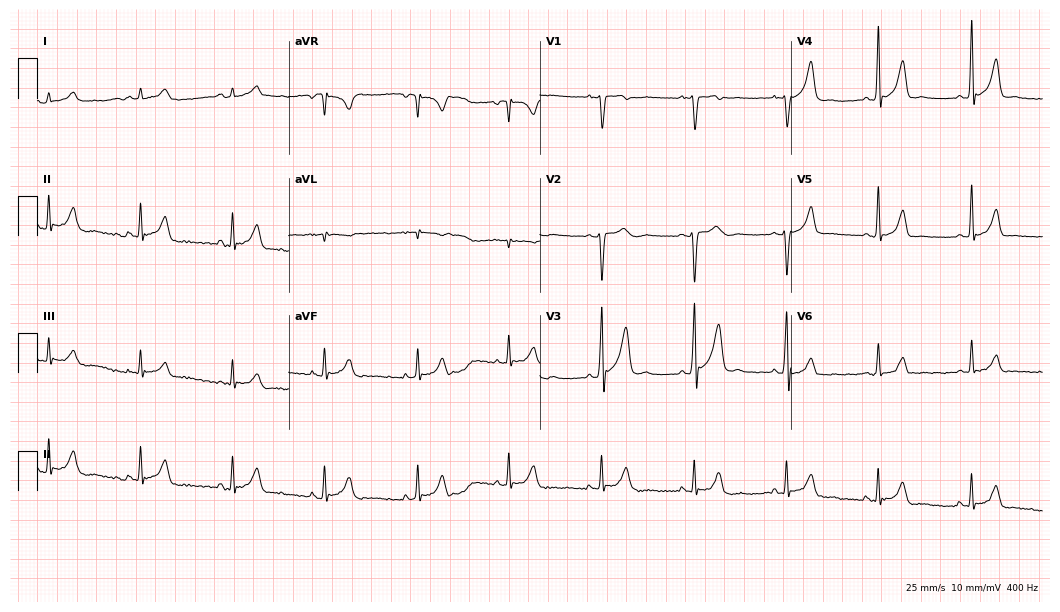
12-lead ECG from a man, 25 years old. Screened for six findings — first-degree AV block, right bundle branch block (RBBB), left bundle branch block (LBBB), sinus bradycardia, atrial fibrillation (AF), sinus tachycardia — none is recorded.